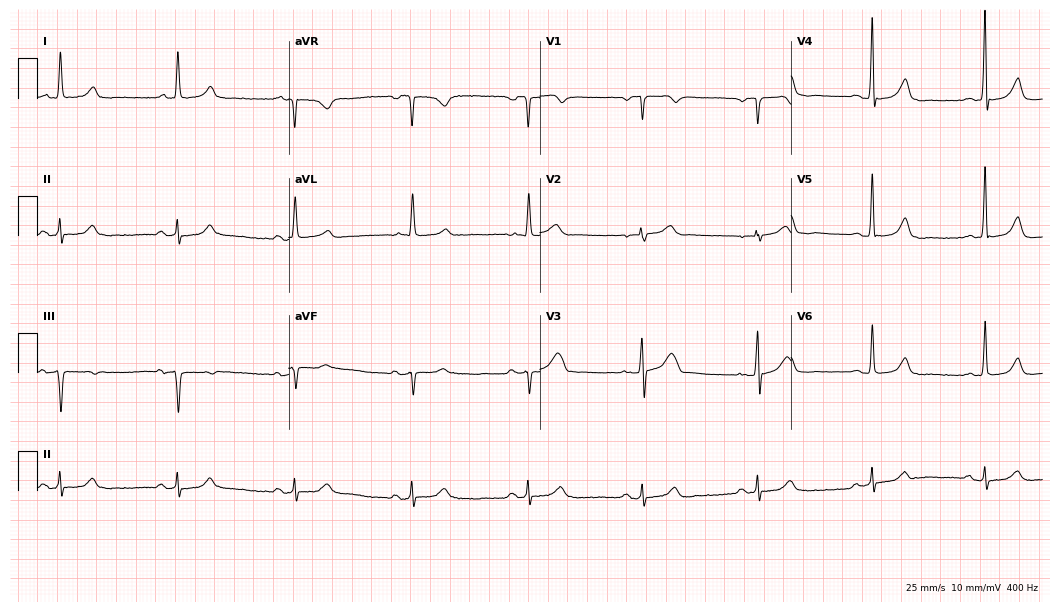
Resting 12-lead electrocardiogram (10.2-second recording at 400 Hz). Patient: a 76-year-old male. The tracing shows sinus bradycardia (a sinus rate of 50 beats per minute or less).